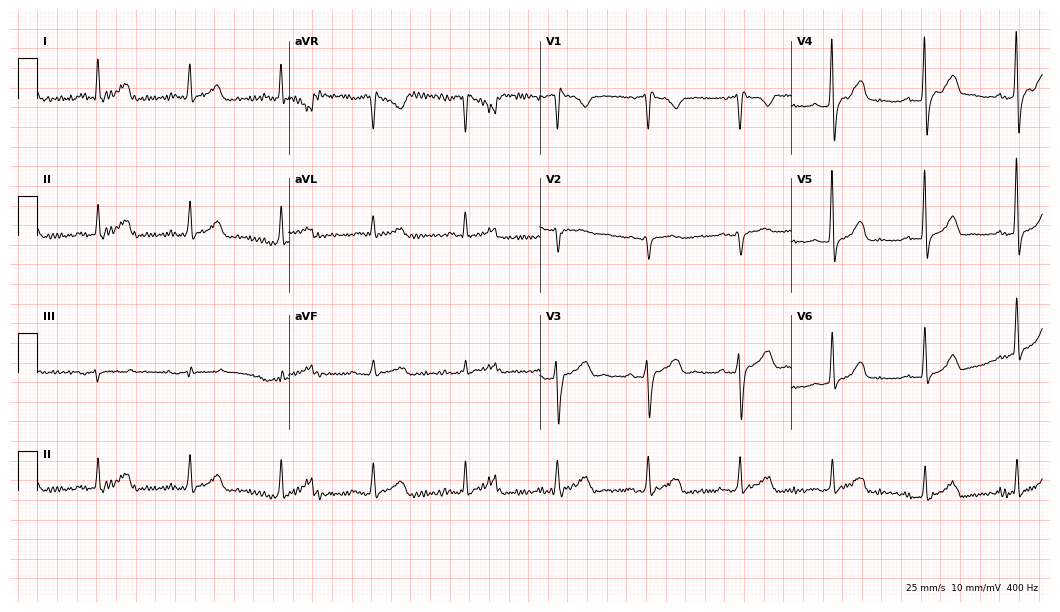
12-lead ECG (10.2-second recording at 400 Hz) from a 58-year-old male patient. Screened for six findings — first-degree AV block, right bundle branch block, left bundle branch block, sinus bradycardia, atrial fibrillation, sinus tachycardia — none is recorded. Other findings, if any, are not listed.